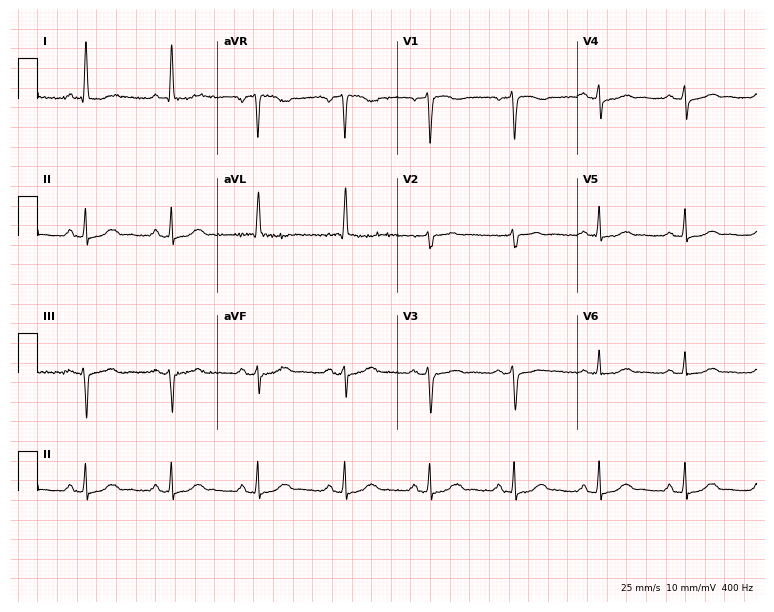
ECG (7.3-second recording at 400 Hz) — a female patient, 63 years old. Labelled as a normal ECG.